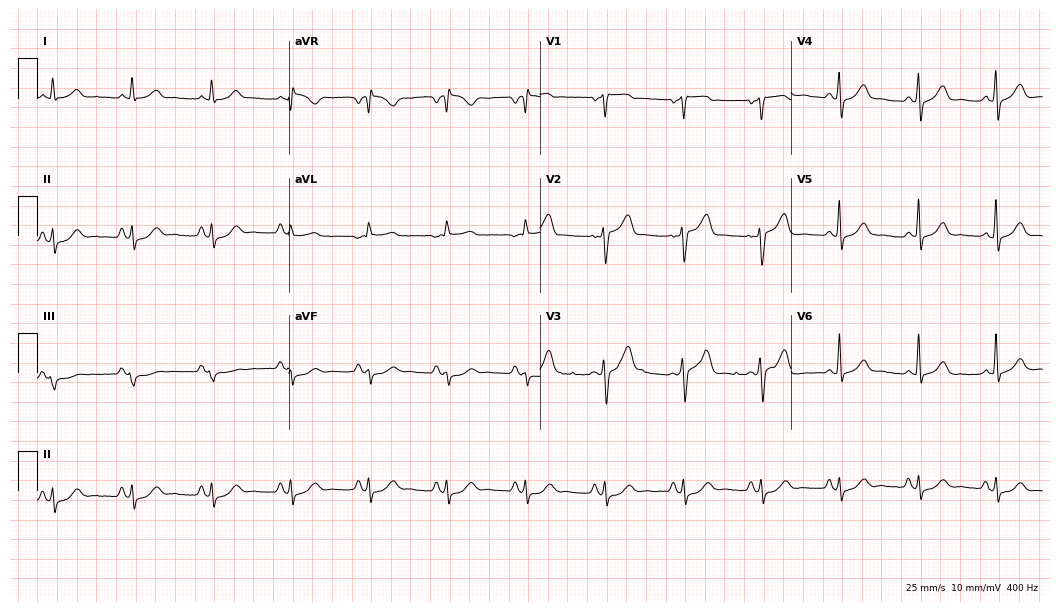
Electrocardiogram (10.2-second recording at 400 Hz), a male patient, 74 years old. Of the six screened findings (first-degree AV block, right bundle branch block, left bundle branch block, sinus bradycardia, atrial fibrillation, sinus tachycardia), none is recorded. Findings outside these six are not listed.